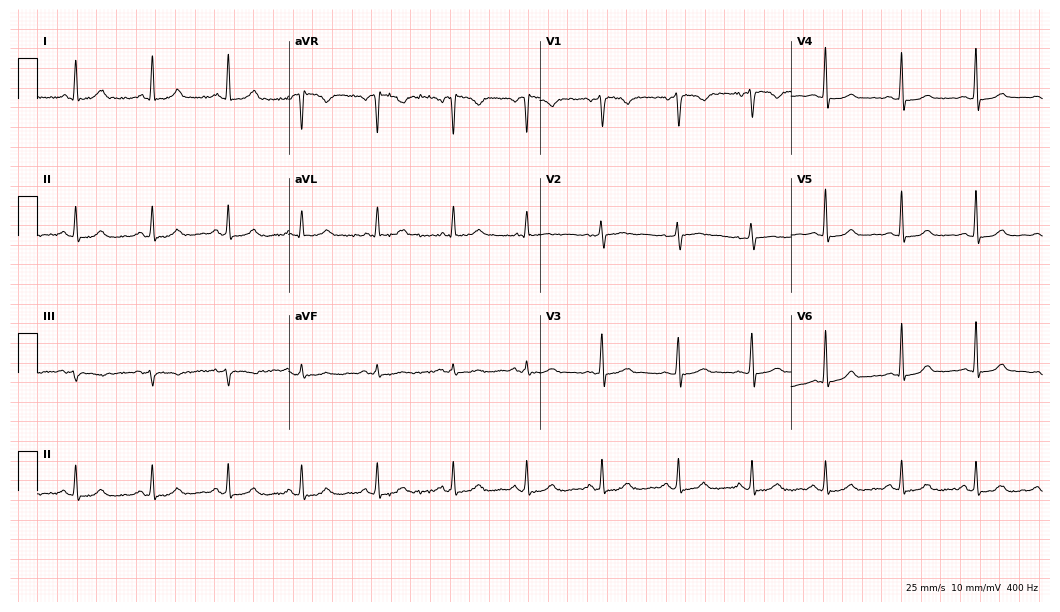
Standard 12-lead ECG recorded from a female, 40 years old (10.2-second recording at 400 Hz). None of these six findings is recorded: first-degree AV block, right bundle branch block (RBBB), left bundle branch block (LBBB), sinus bradycardia, atrial fibrillation (AF), sinus tachycardia.